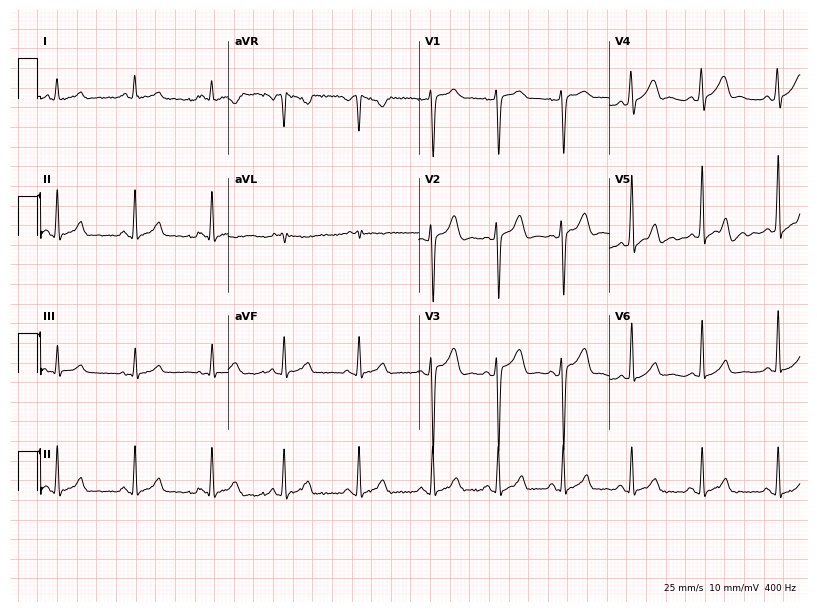
12-lead ECG from a man, 23 years old (7.8-second recording at 400 Hz). Recorded interpretation: within normal limits.